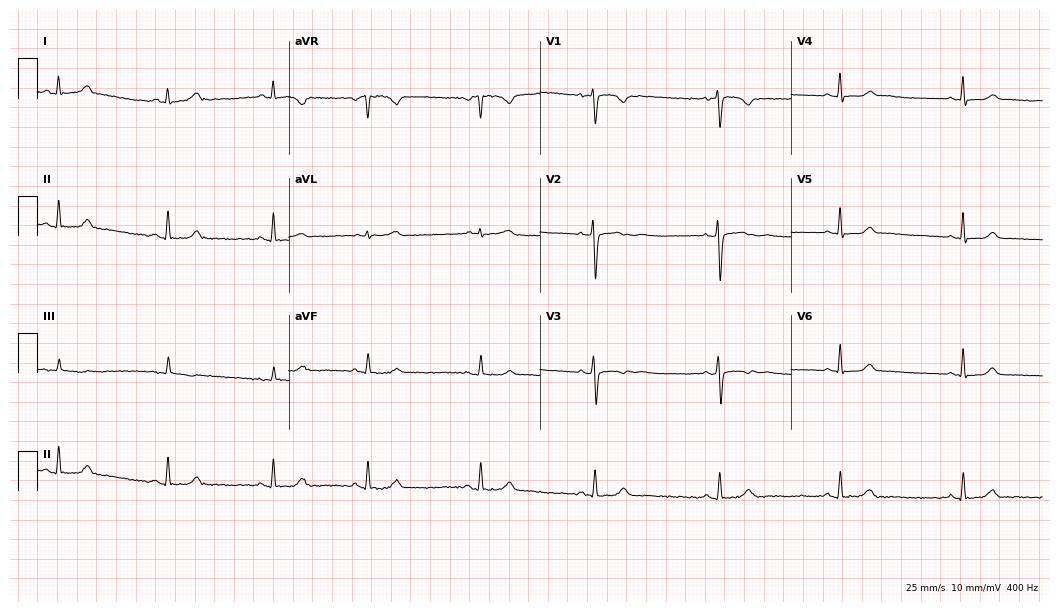
12-lead ECG from a 36-year-old female patient (10.2-second recording at 400 Hz). Recorded interpretation: within normal limits.